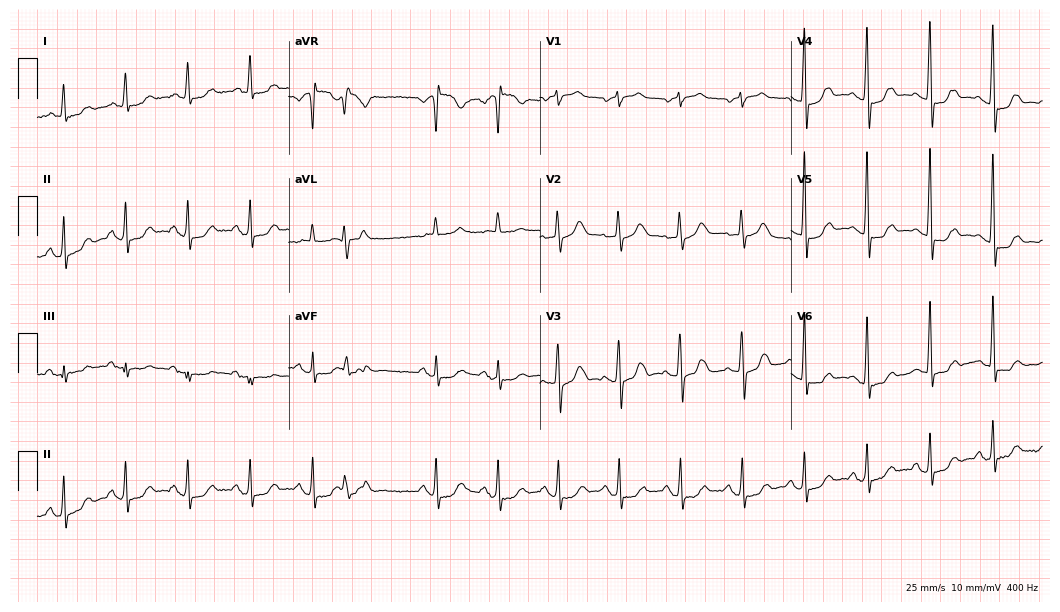
12-lead ECG (10.2-second recording at 400 Hz) from a female, 75 years old. Screened for six findings — first-degree AV block, right bundle branch block (RBBB), left bundle branch block (LBBB), sinus bradycardia, atrial fibrillation (AF), sinus tachycardia — none is recorded. Other findings, if any, are not listed.